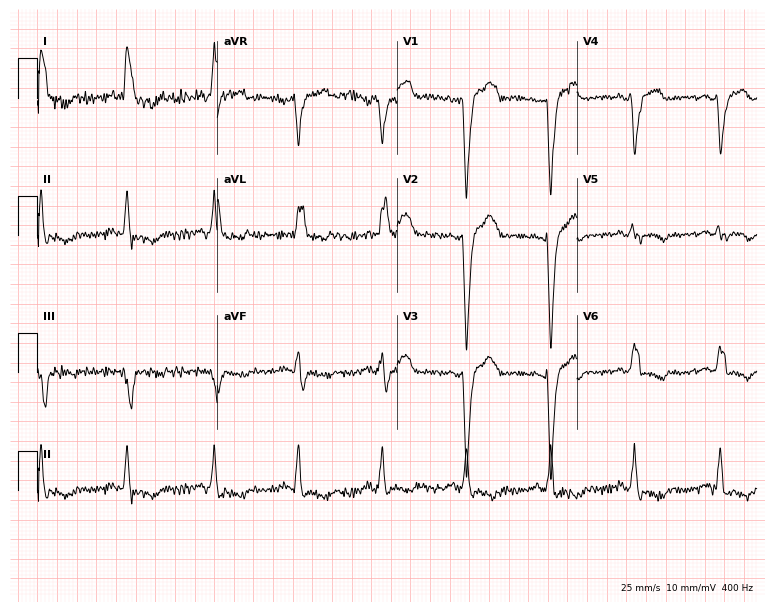
Electrocardiogram, a 72-year-old female. Of the six screened findings (first-degree AV block, right bundle branch block, left bundle branch block, sinus bradycardia, atrial fibrillation, sinus tachycardia), none is recorded.